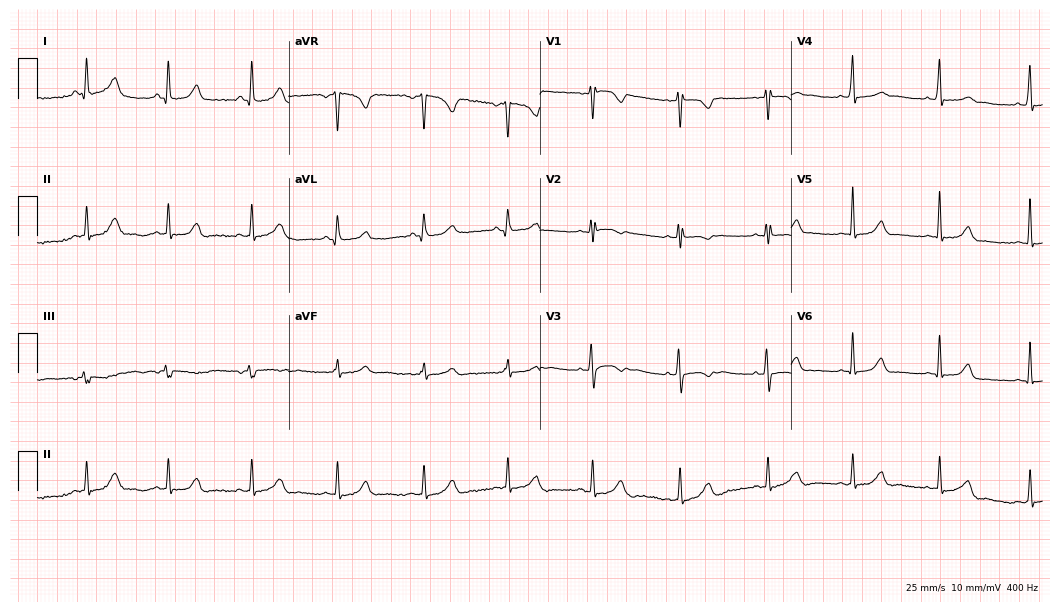
Electrocardiogram, a female patient, 18 years old. Overall reading on record: normal ECG.